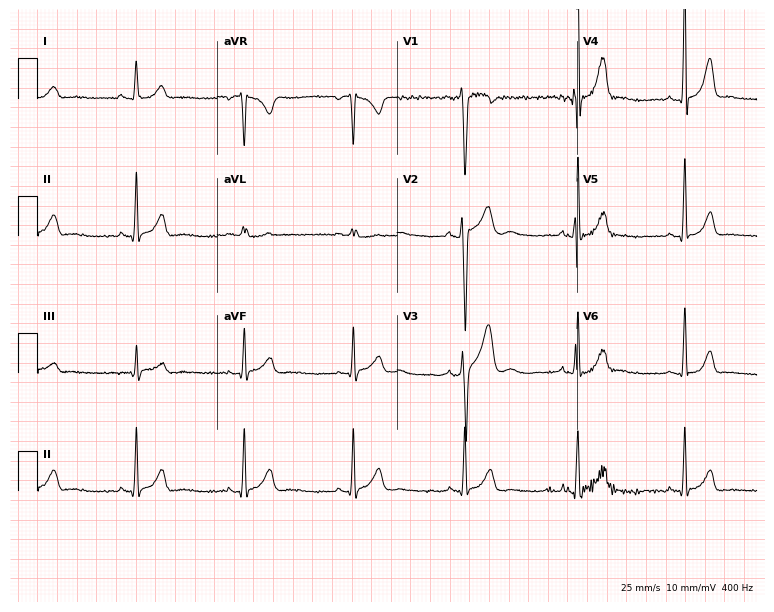
Electrocardiogram, a 17-year-old man. Overall reading on record: normal ECG.